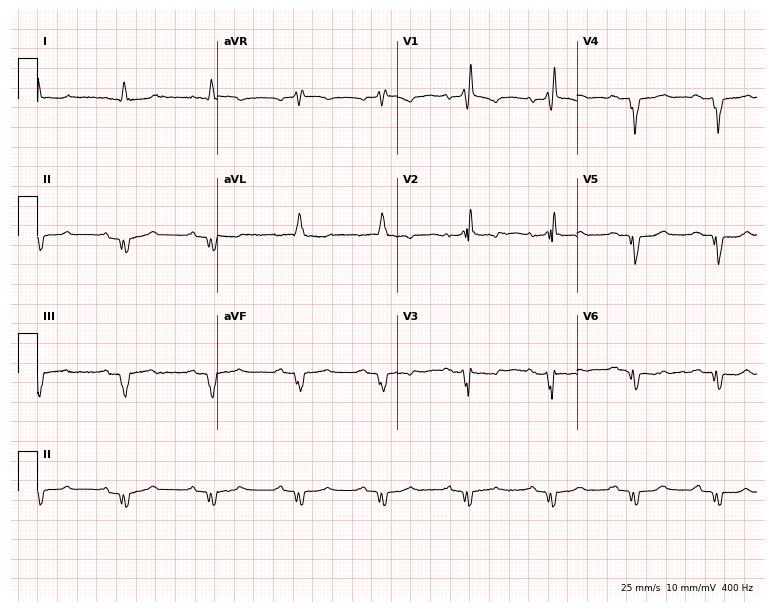
ECG — a 73-year-old male patient. Findings include right bundle branch block (RBBB).